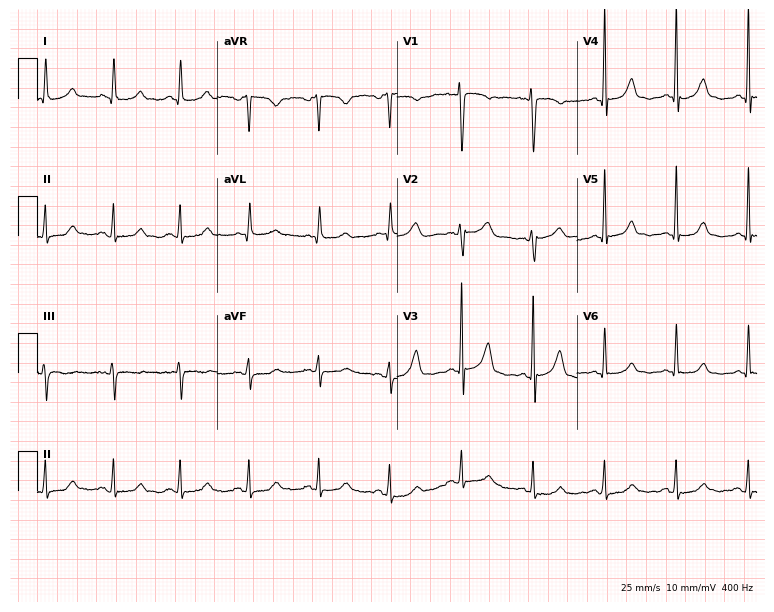
12-lead ECG from a 44-year-old female patient. No first-degree AV block, right bundle branch block (RBBB), left bundle branch block (LBBB), sinus bradycardia, atrial fibrillation (AF) or sinus tachycardia recorded for this tracing.